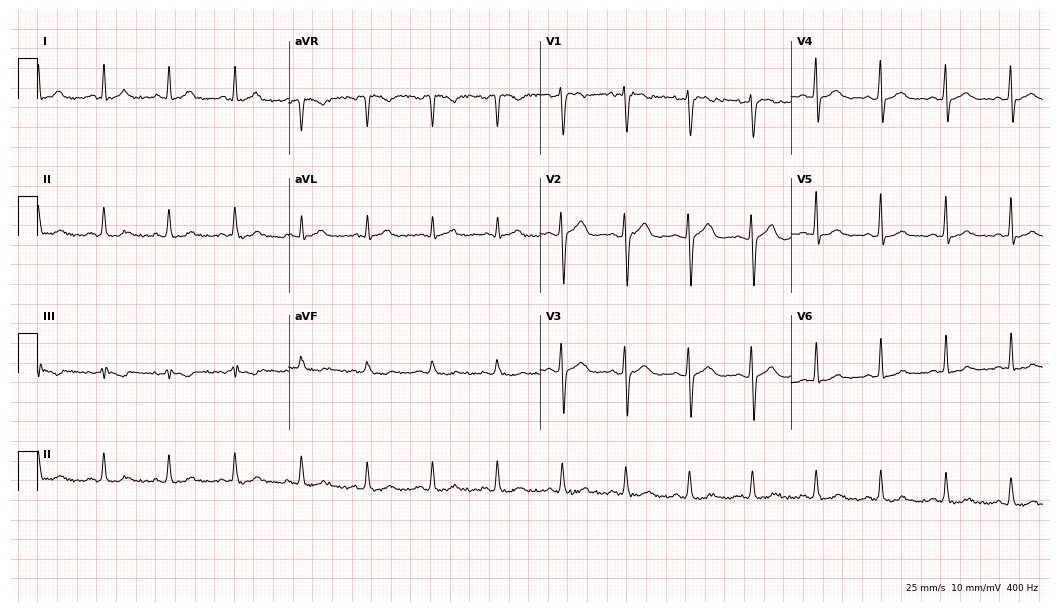
12-lead ECG from a 26-year-old female. Screened for six findings — first-degree AV block, right bundle branch block (RBBB), left bundle branch block (LBBB), sinus bradycardia, atrial fibrillation (AF), sinus tachycardia — none is recorded. Other findings, if any, are not listed.